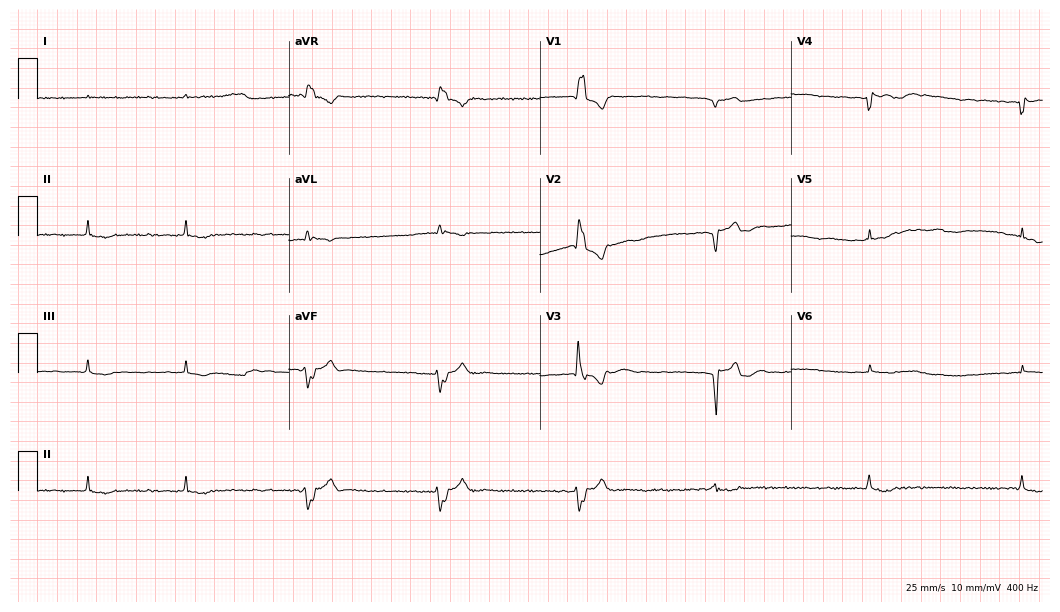
12-lead ECG (10.2-second recording at 400 Hz) from a man, 81 years old. Screened for six findings — first-degree AV block, right bundle branch block, left bundle branch block, sinus bradycardia, atrial fibrillation, sinus tachycardia — none is recorded. Findings outside these six are not listed.